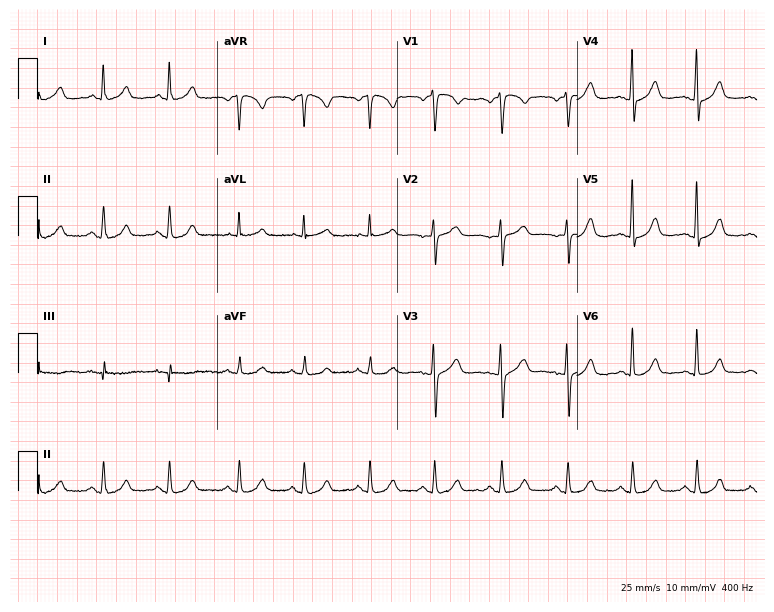
Electrocardiogram (7.3-second recording at 400 Hz), a woman, 52 years old. Overall reading on record: normal ECG.